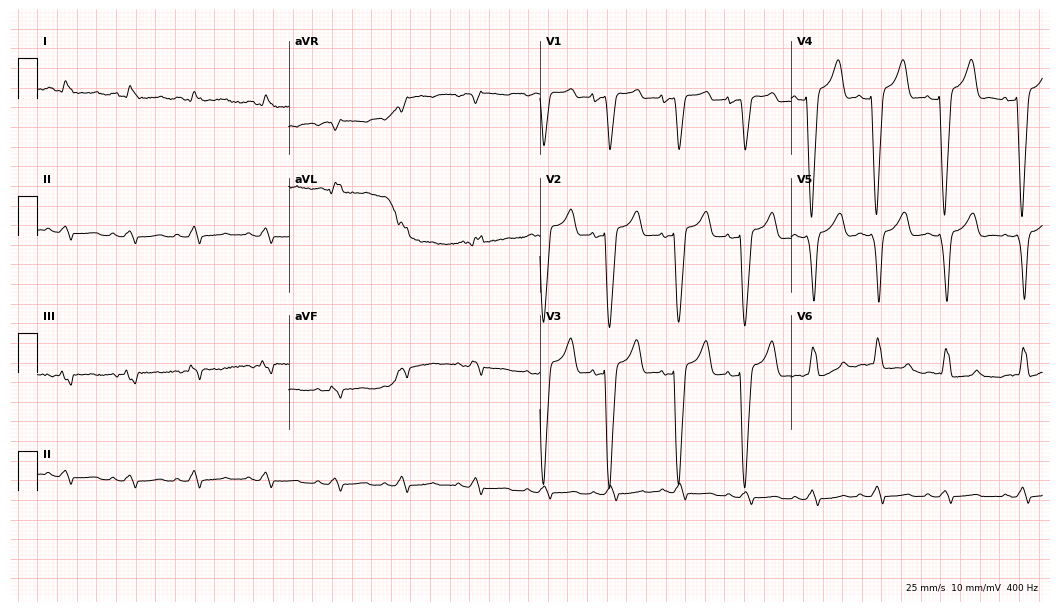
Standard 12-lead ECG recorded from a female patient, 77 years old (10.2-second recording at 400 Hz). The tracing shows left bundle branch block (LBBB).